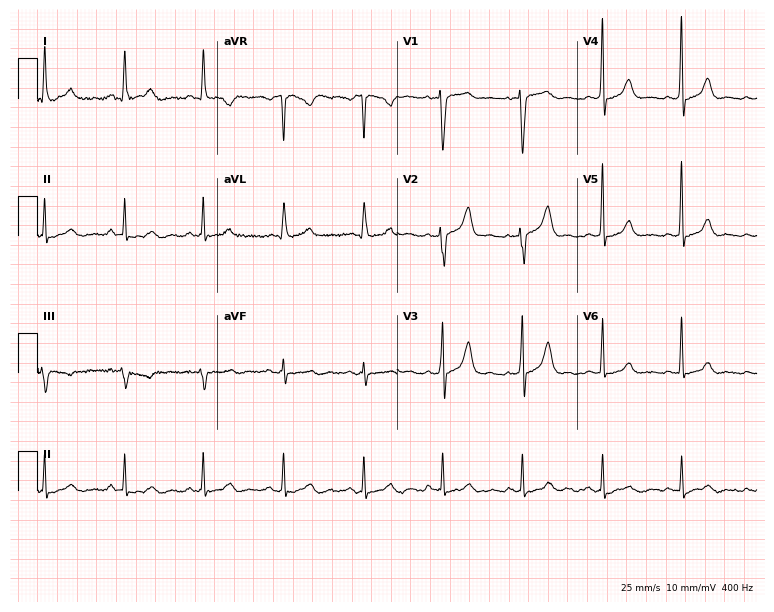
Electrocardiogram, a 50-year-old woman. Of the six screened findings (first-degree AV block, right bundle branch block, left bundle branch block, sinus bradycardia, atrial fibrillation, sinus tachycardia), none is recorded. Only these six findings were labelled.